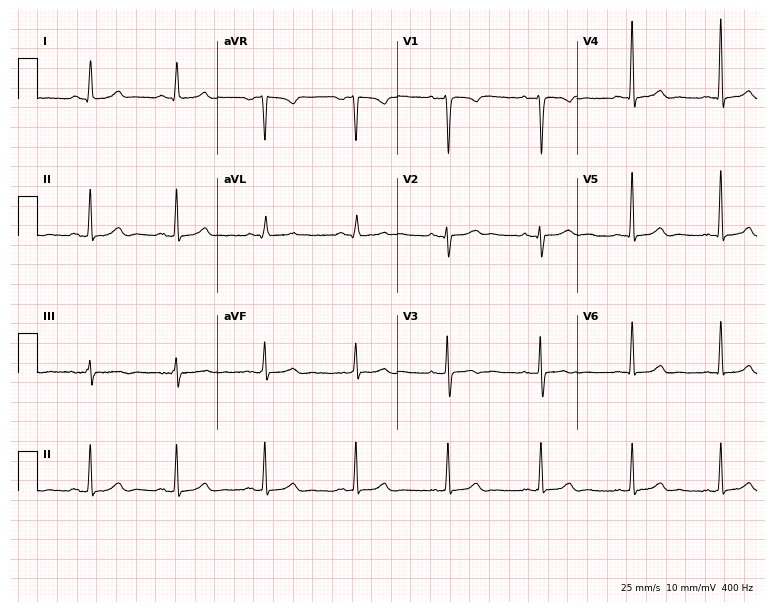
12-lead ECG from a 40-year-old woman. Labelled as a normal ECG.